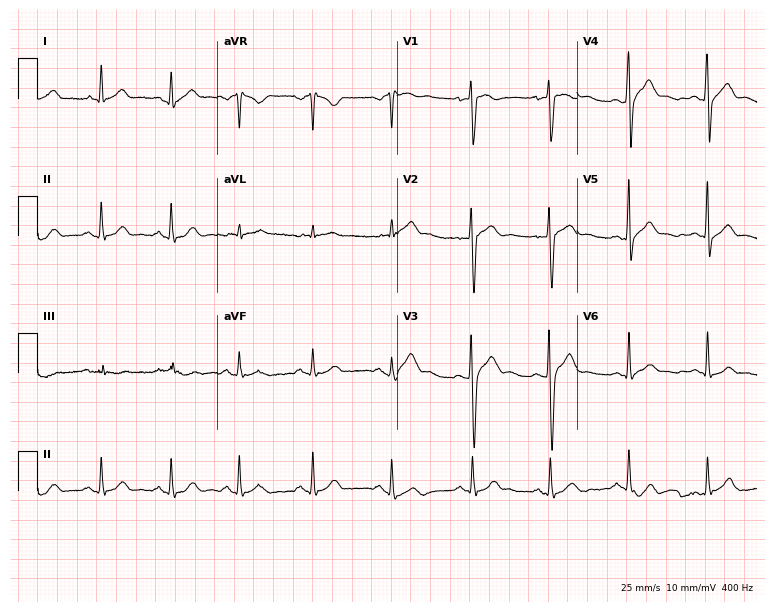
Electrocardiogram, a male patient, 19 years old. Overall reading on record: normal ECG.